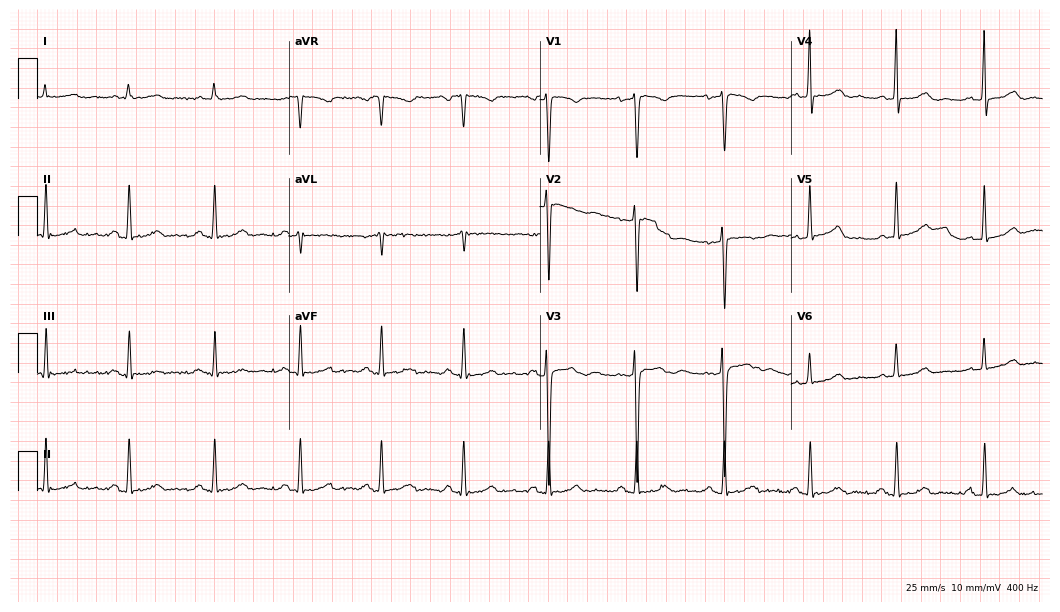
12-lead ECG (10.2-second recording at 400 Hz) from a female patient, 29 years old. Labelled as a normal ECG.